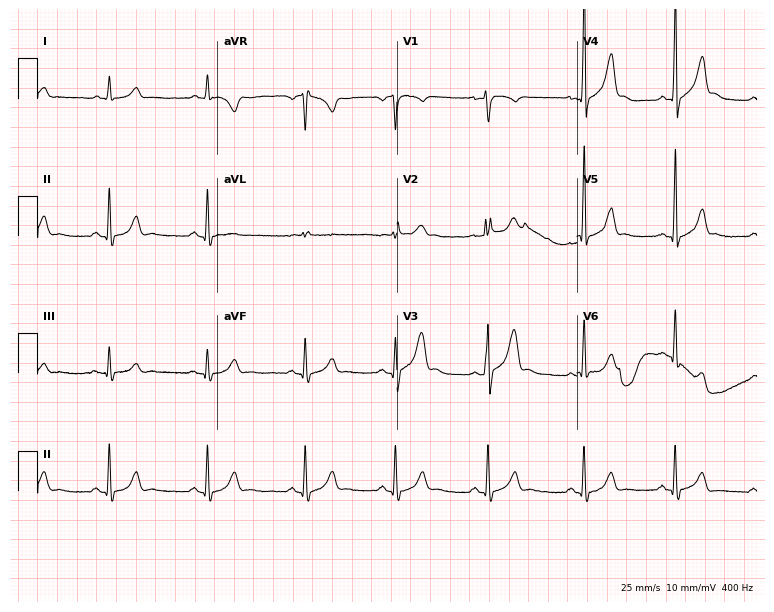
12-lead ECG from a male, 25 years old. No first-degree AV block, right bundle branch block (RBBB), left bundle branch block (LBBB), sinus bradycardia, atrial fibrillation (AF) or sinus tachycardia recorded for this tracing. Other findings, if any, are not listed.